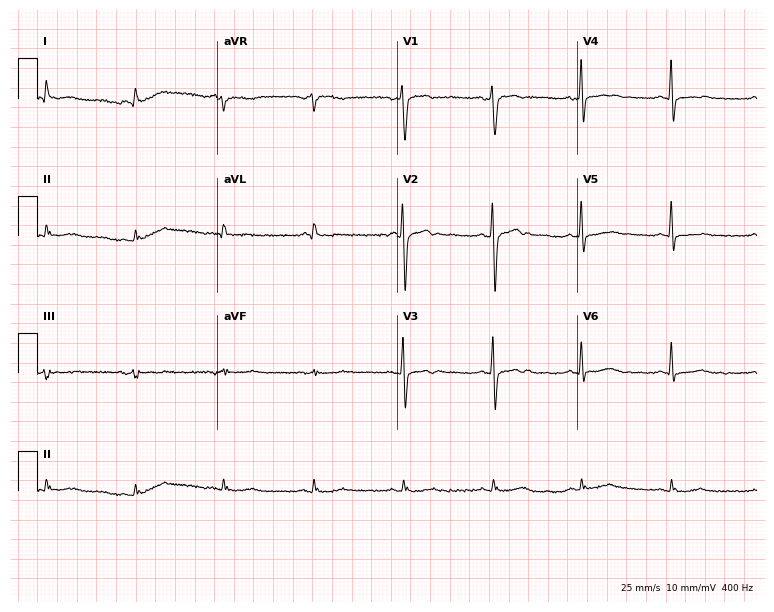
Electrocardiogram, a 54-year-old man. Of the six screened findings (first-degree AV block, right bundle branch block, left bundle branch block, sinus bradycardia, atrial fibrillation, sinus tachycardia), none is recorded. Only these six findings were labelled.